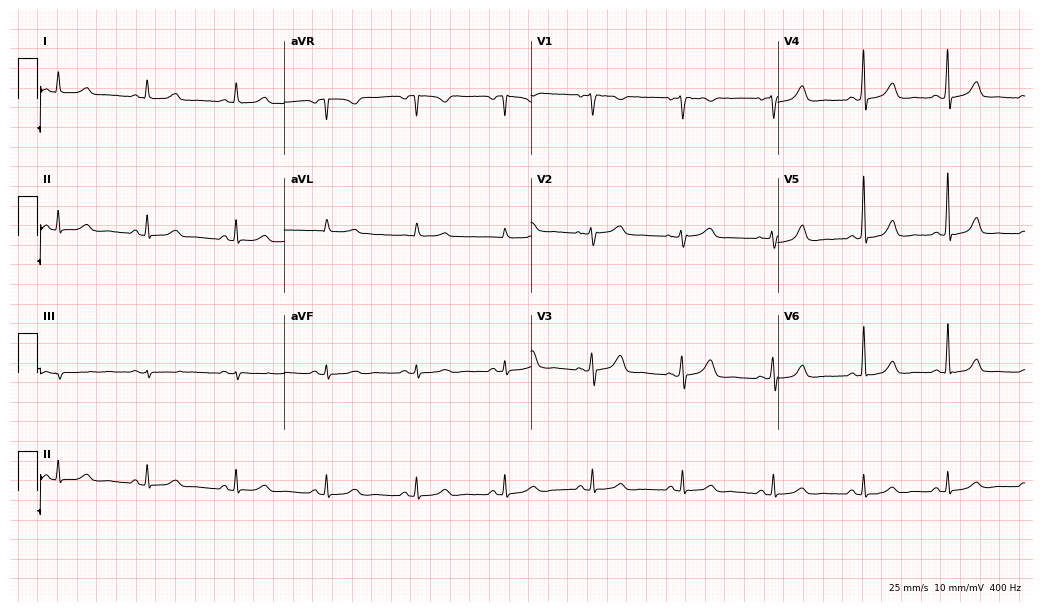
12-lead ECG from a 61-year-old female patient. Recorded interpretation: within normal limits.